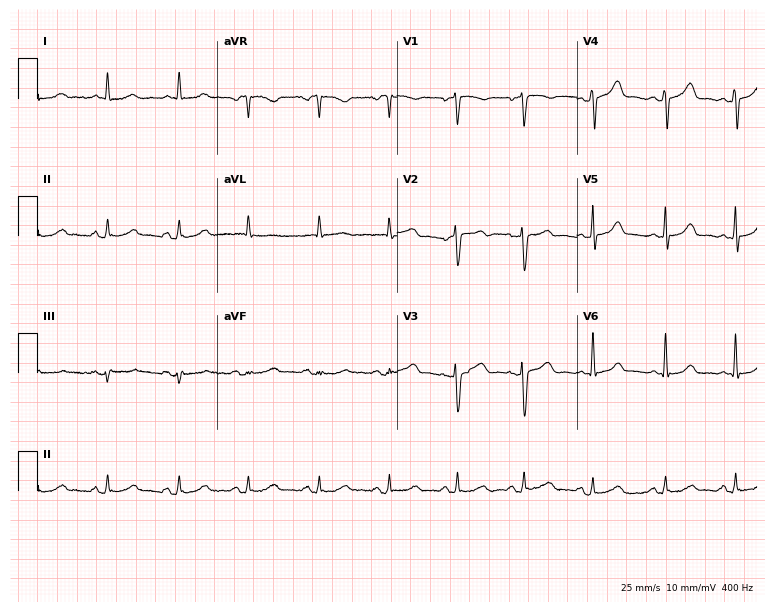
Resting 12-lead electrocardiogram (7.3-second recording at 400 Hz). Patient: a female, 55 years old. Read as a normal ECG.